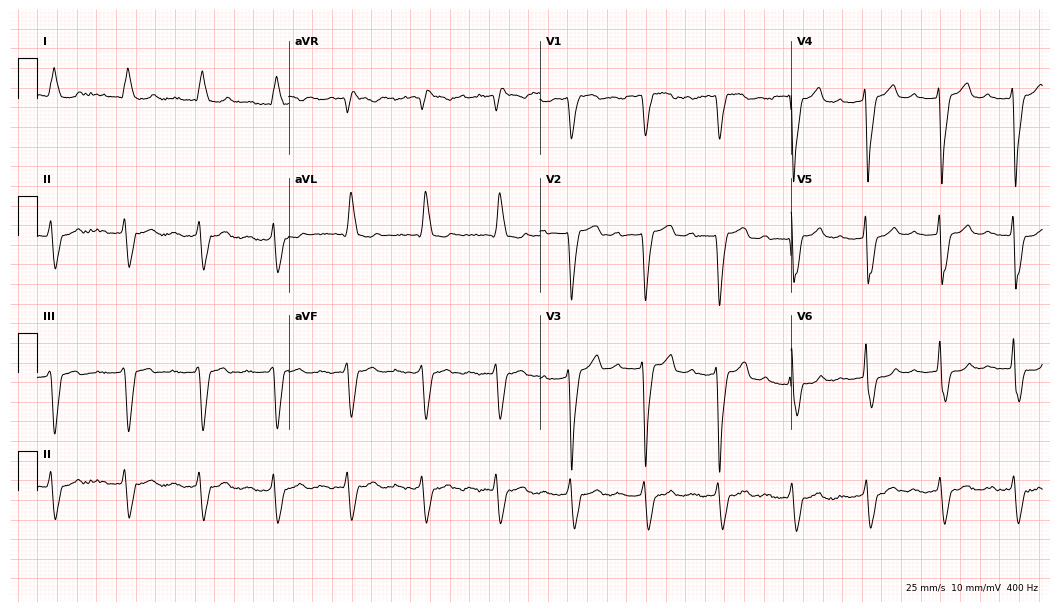
Standard 12-lead ECG recorded from a 75-year-old male. The tracing shows first-degree AV block, left bundle branch block (LBBB).